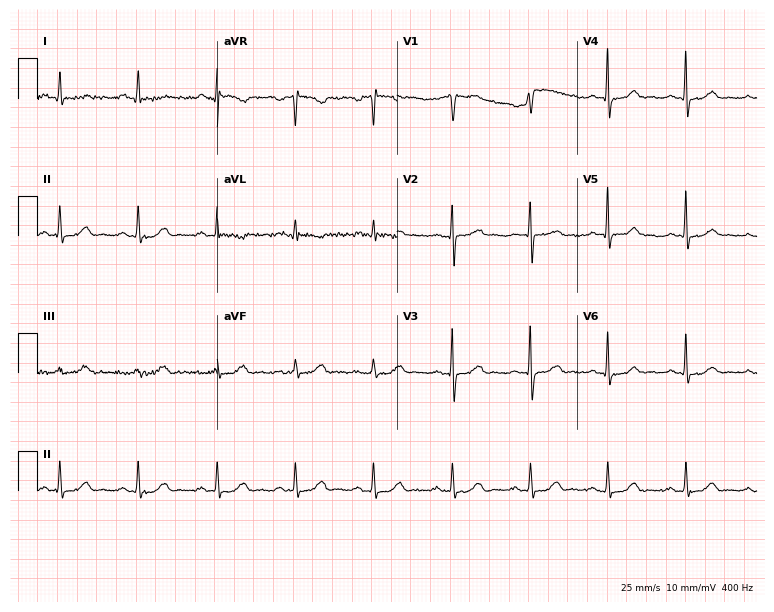
12-lead ECG from a 56-year-old man. Recorded interpretation: within normal limits.